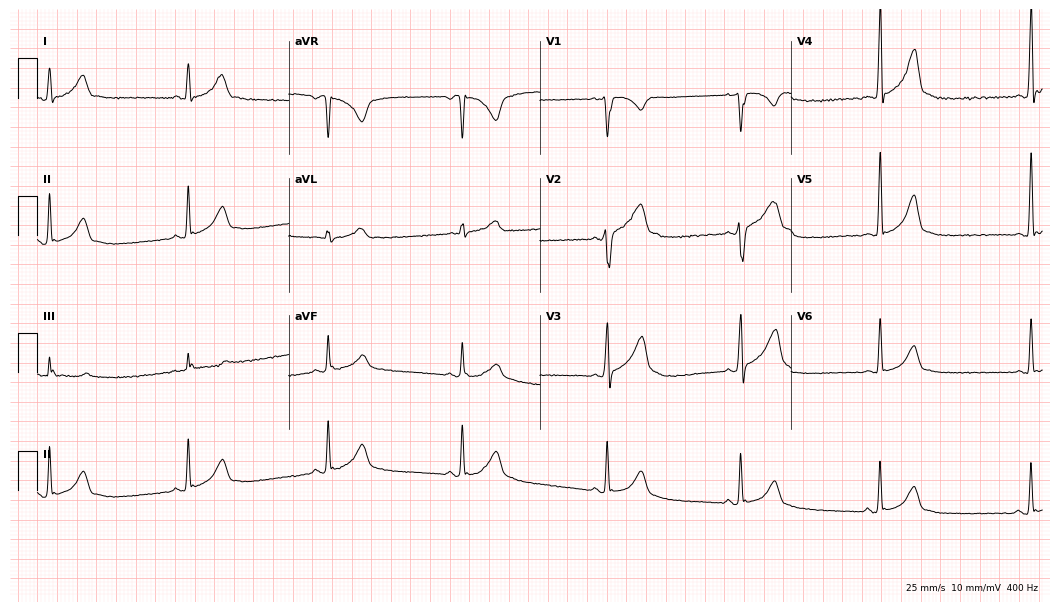
12-lead ECG from a 25-year-old man. Screened for six findings — first-degree AV block, right bundle branch block, left bundle branch block, sinus bradycardia, atrial fibrillation, sinus tachycardia — none is recorded.